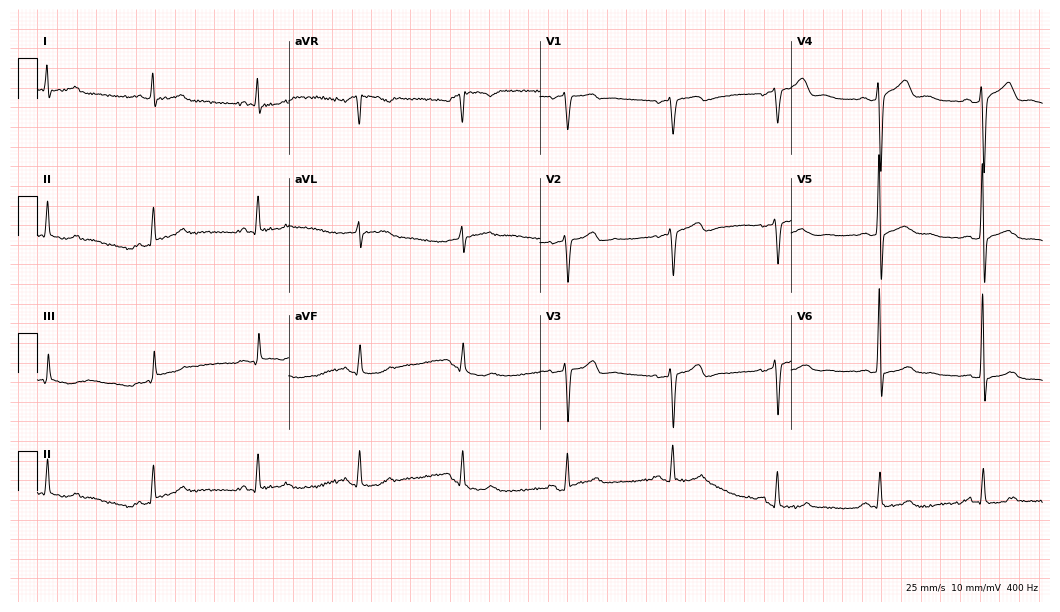
Standard 12-lead ECG recorded from a 54-year-old man. None of these six findings is recorded: first-degree AV block, right bundle branch block (RBBB), left bundle branch block (LBBB), sinus bradycardia, atrial fibrillation (AF), sinus tachycardia. Other findings, if any, are not listed.